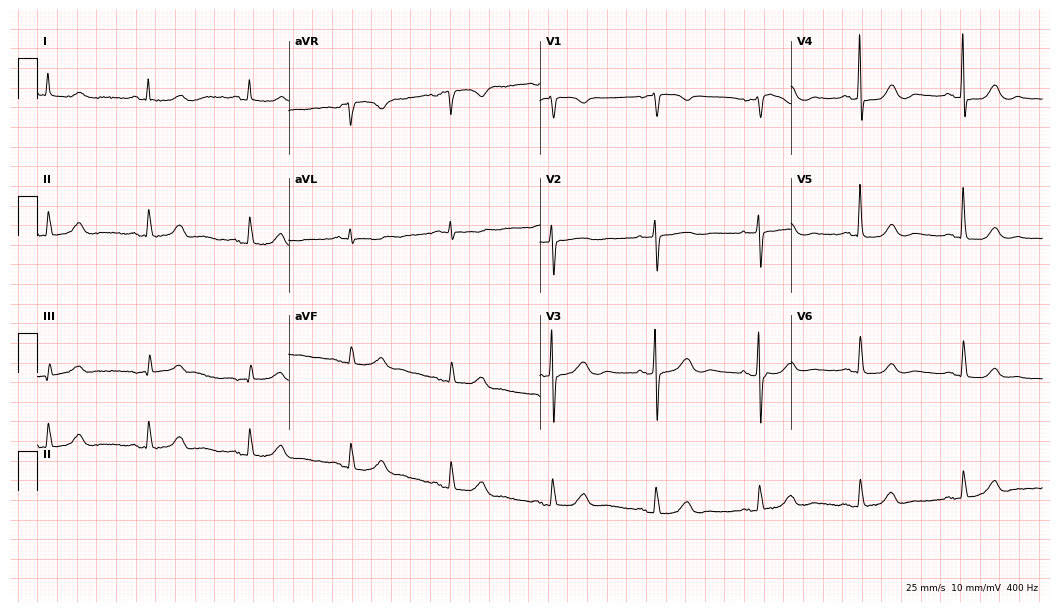
12-lead ECG from a female patient, 81 years old. Screened for six findings — first-degree AV block, right bundle branch block, left bundle branch block, sinus bradycardia, atrial fibrillation, sinus tachycardia — none is recorded. Other findings, if any, are not listed.